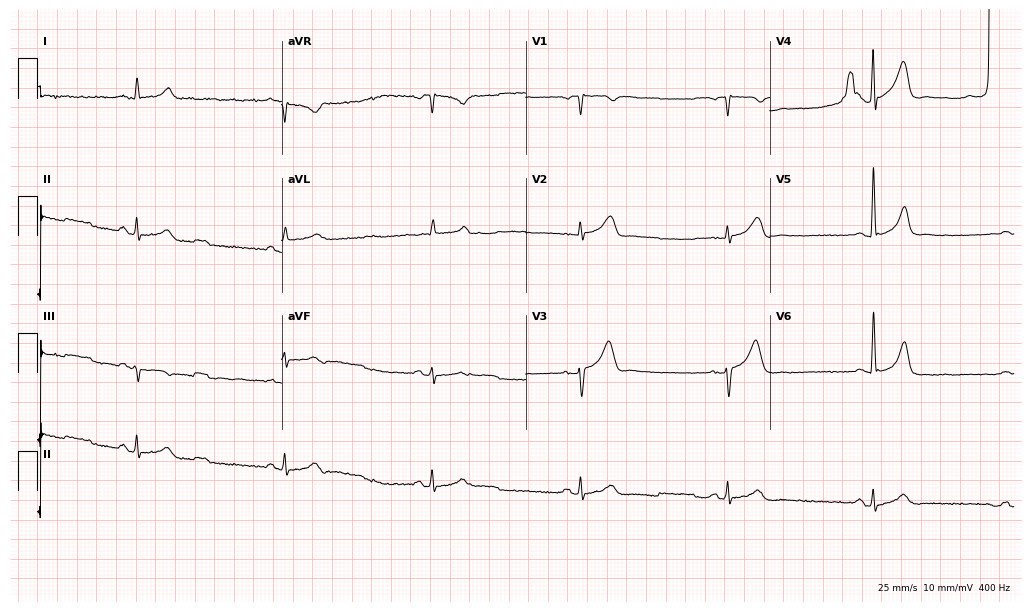
Resting 12-lead electrocardiogram. Patient: a 76-year-old male. None of these six findings is recorded: first-degree AV block, right bundle branch block, left bundle branch block, sinus bradycardia, atrial fibrillation, sinus tachycardia.